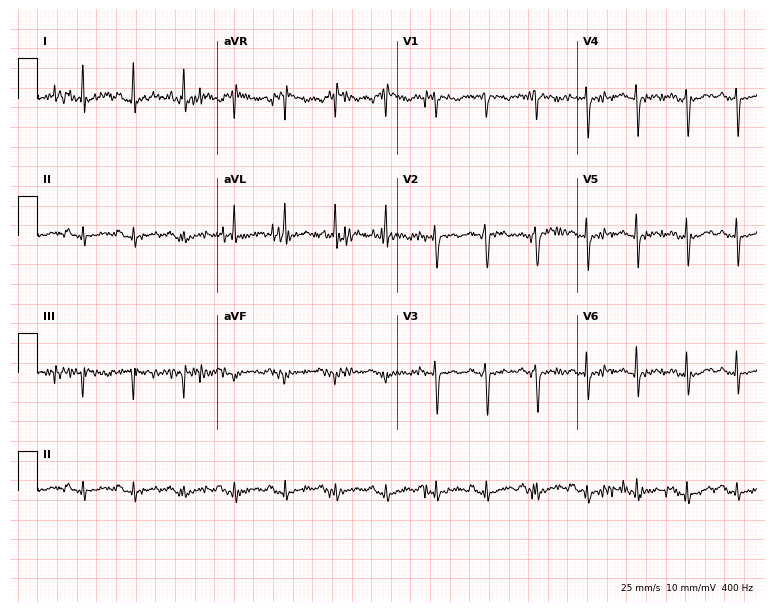
Electrocardiogram, a female, 44 years old. Interpretation includes sinus tachycardia (a sinus rate of 100 beats per minute or more).